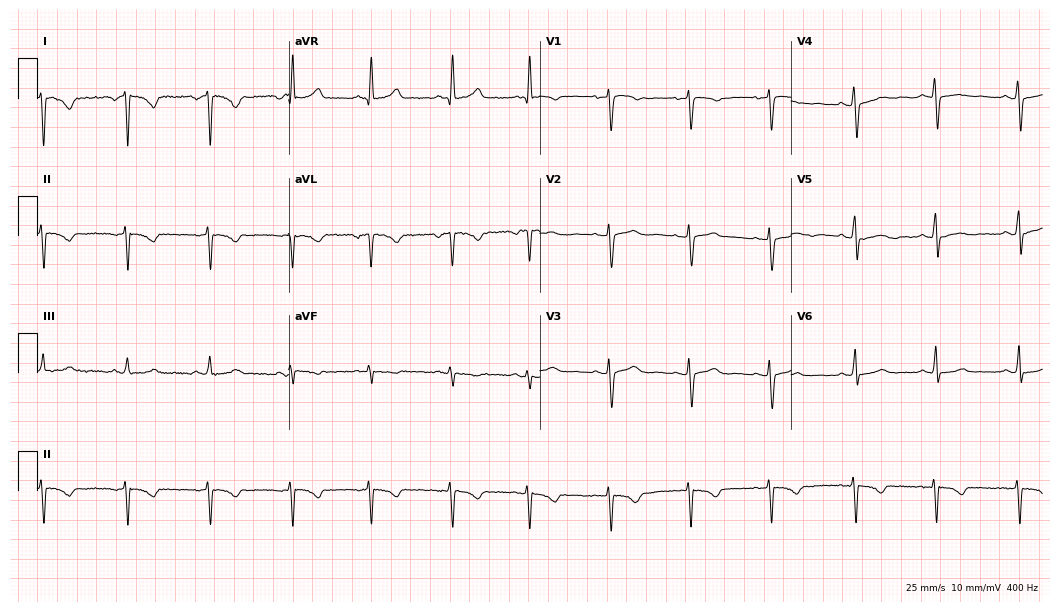
12-lead ECG from a female, 20 years old (10.2-second recording at 400 Hz). No first-degree AV block, right bundle branch block, left bundle branch block, sinus bradycardia, atrial fibrillation or sinus tachycardia recorded for this tracing.